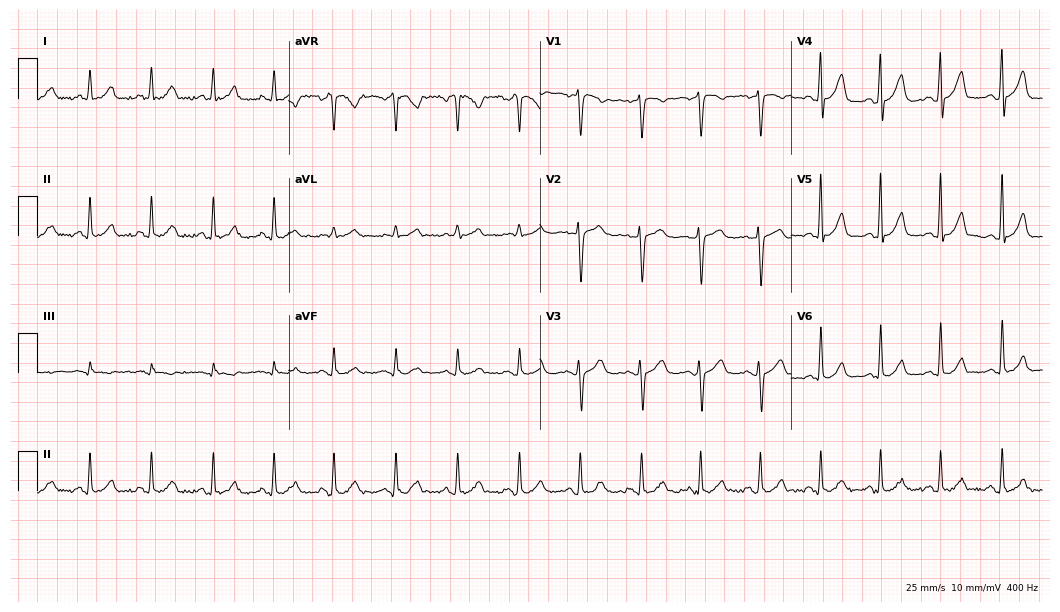
12-lead ECG from a 44-year-old female patient. No first-degree AV block, right bundle branch block (RBBB), left bundle branch block (LBBB), sinus bradycardia, atrial fibrillation (AF) or sinus tachycardia recorded for this tracing.